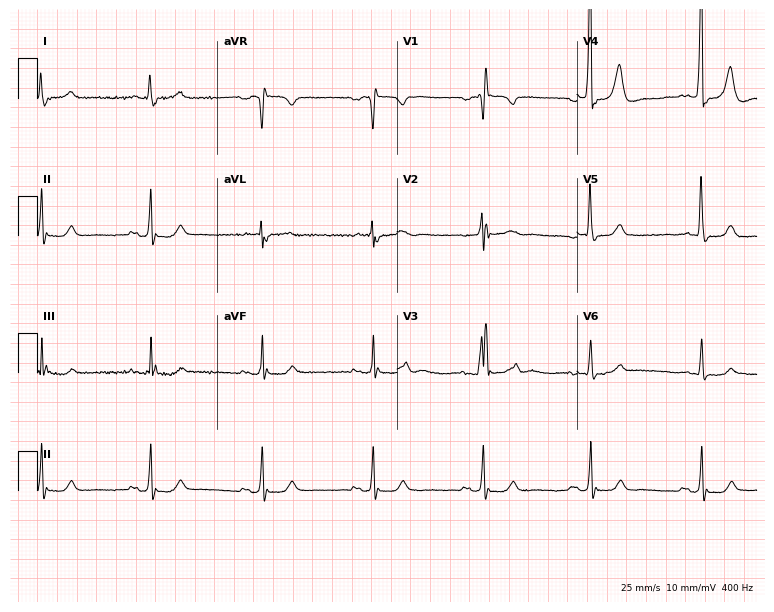
12-lead ECG (7.3-second recording at 400 Hz) from a 73-year-old man. Findings include right bundle branch block (RBBB).